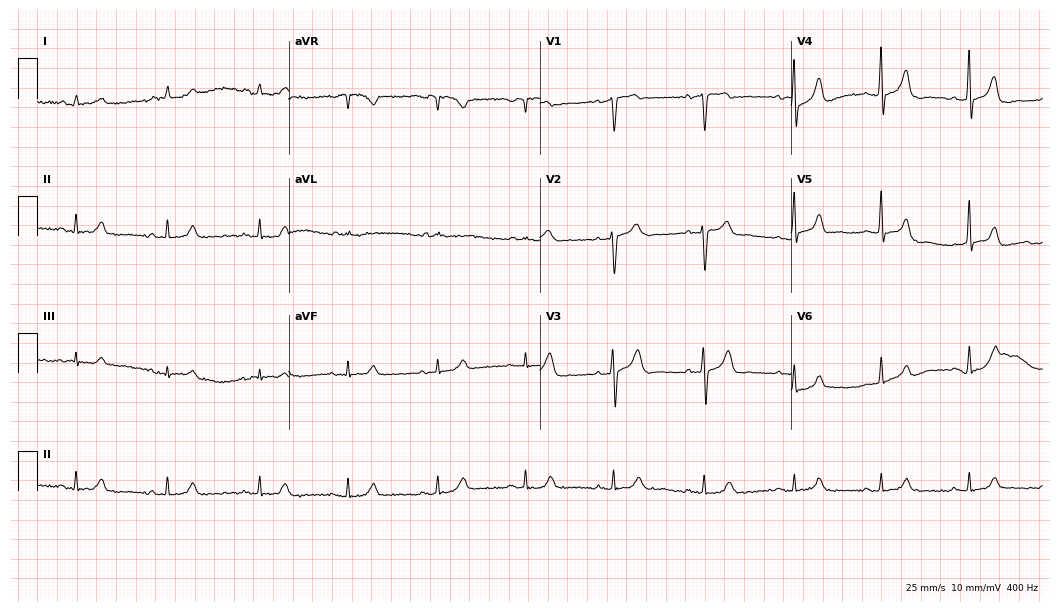
ECG — a male, 84 years old. Labelled as a normal ECG.